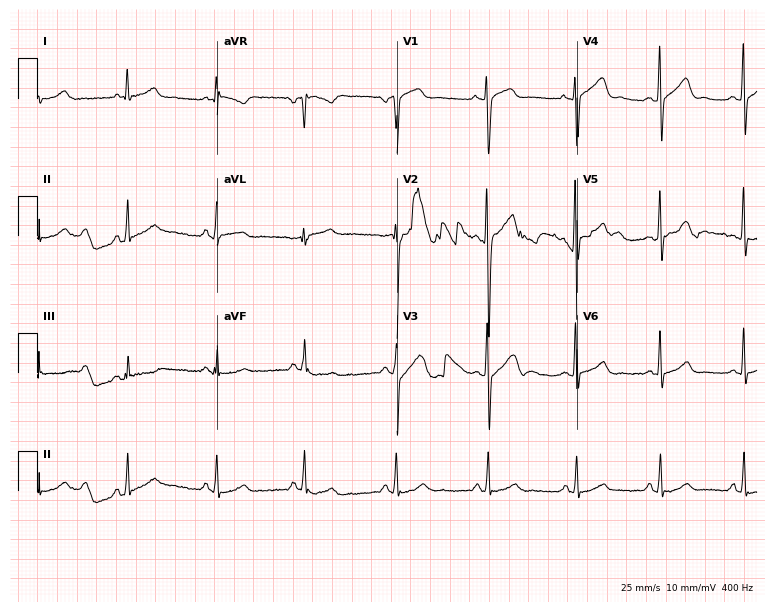
Electrocardiogram (7.3-second recording at 400 Hz), a male patient, 32 years old. Overall reading on record: normal ECG.